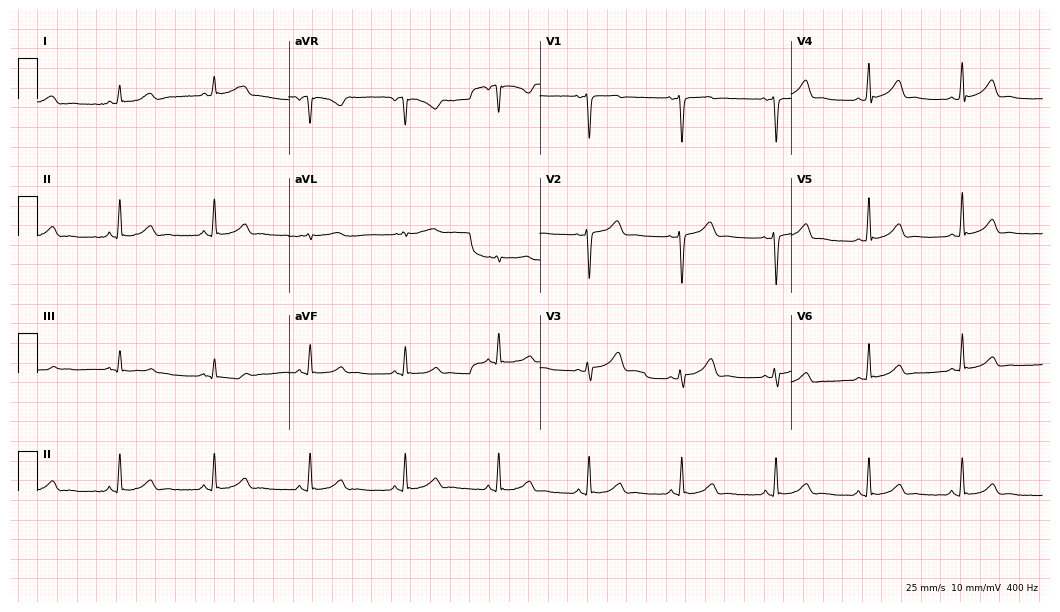
ECG (10.2-second recording at 400 Hz) — a 39-year-old woman. Screened for six findings — first-degree AV block, right bundle branch block, left bundle branch block, sinus bradycardia, atrial fibrillation, sinus tachycardia — none is recorded.